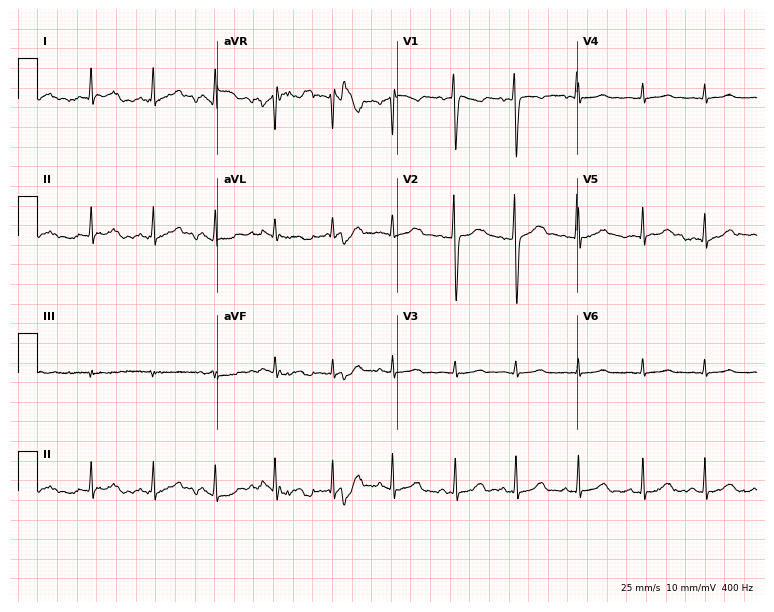
12-lead ECG from a 23-year-old female patient. Screened for six findings — first-degree AV block, right bundle branch block, left bundle branch block, sinus bradycardia, atrial fibrillation, sinus tachycardia — none is recorded. Findings outside these six are not listed.